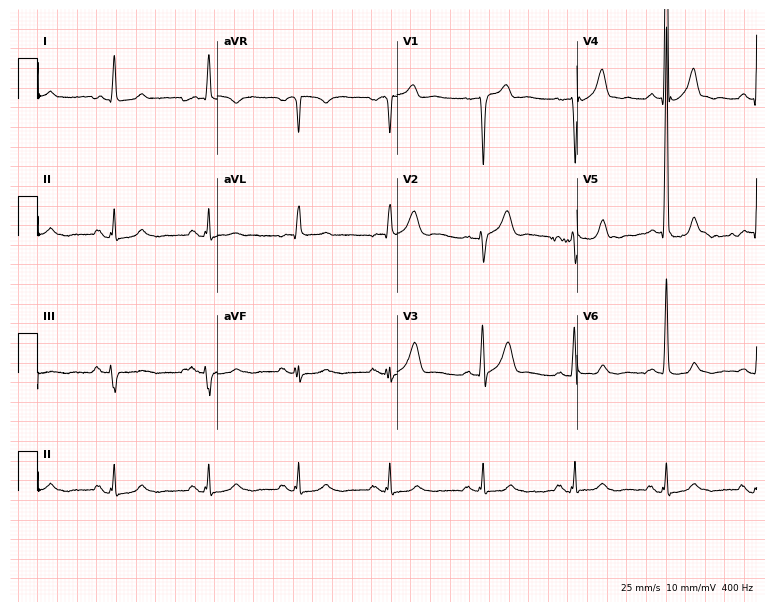
ECG — a 68-year-old male patient. Screened for six findings — first-degree AV block, right bundle branch block, left bundle branch block, sinus bradycardia, atrial fibrillation, sinus tachycardia — none is recorded. Other findings, if any, are not listed.